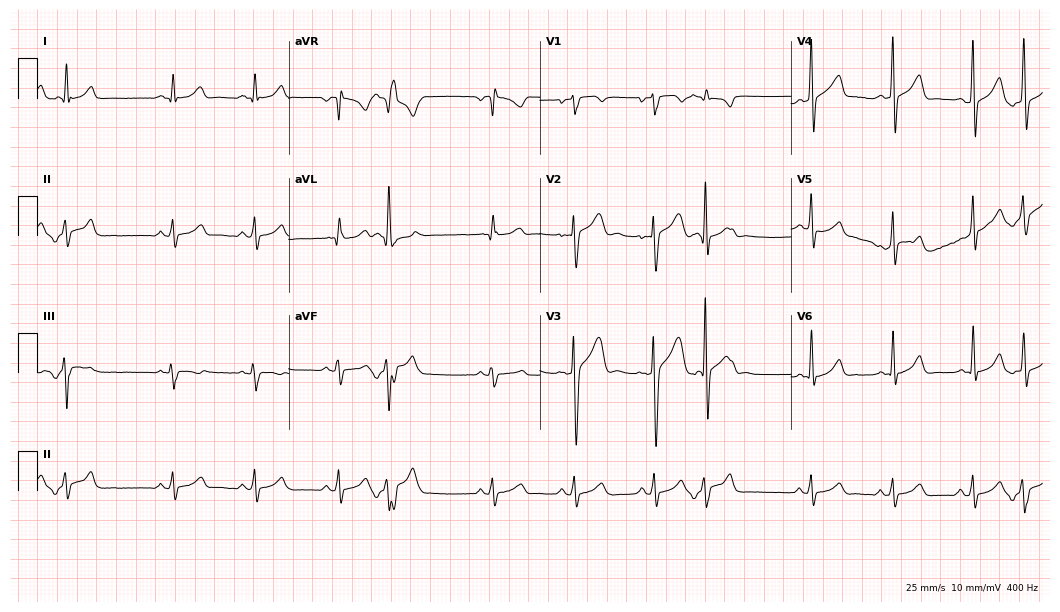
ECG — a 21-year-old male. Screened for six findings — first-degree AV block, right bundle branch block (RBBB), left bundle branch block (LBBB), sinus bradycardia, atrial fibrillation (AF), sinus tachycardia — none is recorded. Other findings, if any, are not listed.